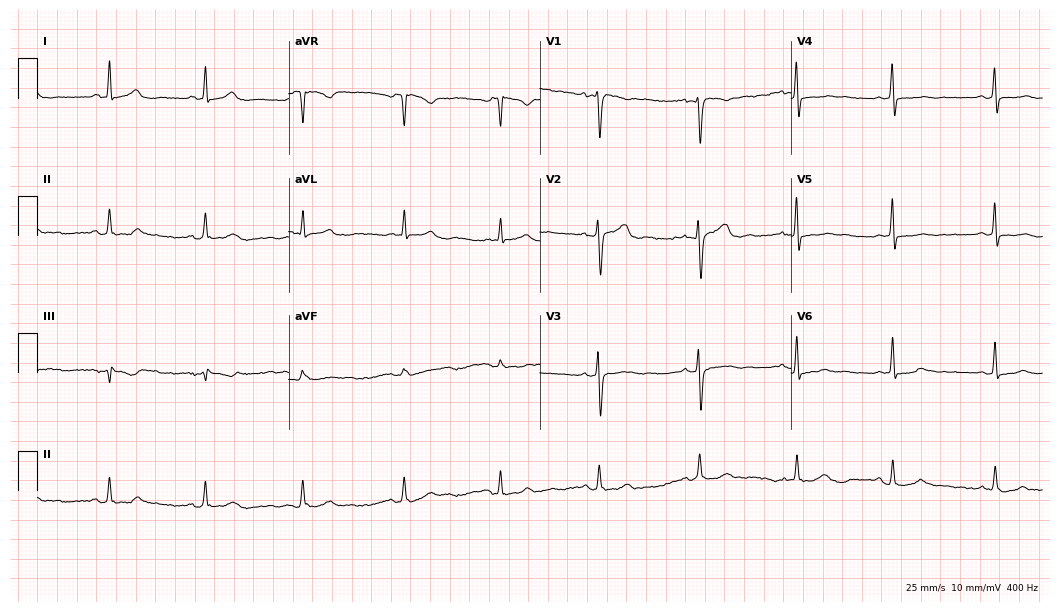
12-lead ECG (10.2-second recording at 400 Hz) from a 42-year-old female patient. Screened for six findings — first-degree AV block, right bundle branch block, left bundle branch block, sinus bradycardia, atrial fibrillation, sinus tachycardia — none is recorded.